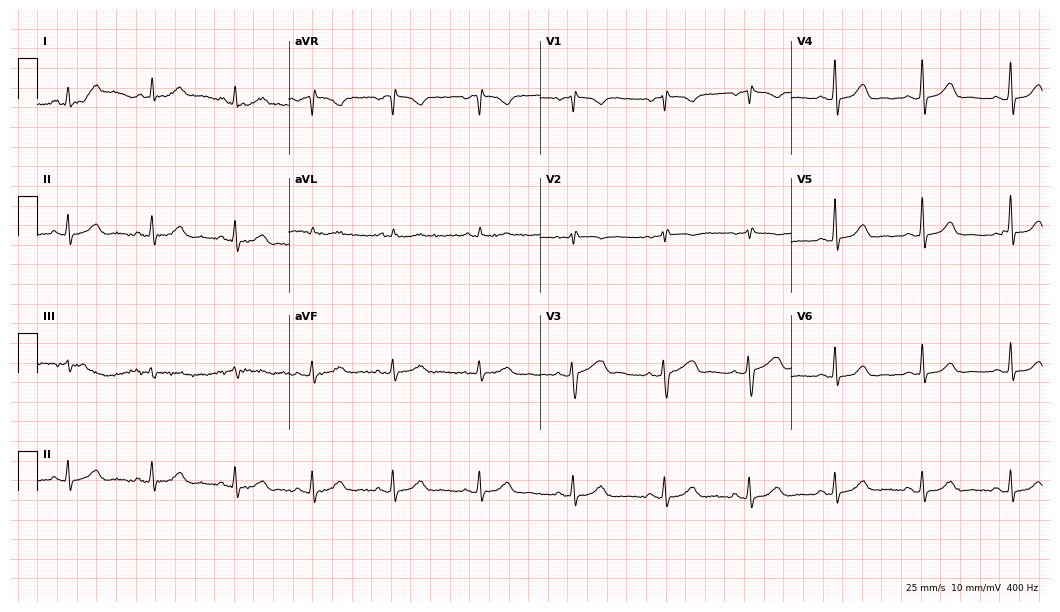
Standard 12-lead ECG recorded from a 45-year-old woman. None of these six findings is recorded: first-degree AV block, right bundle branch block (RBBB), left bundle branch block (LBBB), sinus bradycardia, atrial fibrillation (AF), sinus tachycardia. Other findings, if any, are not listed.